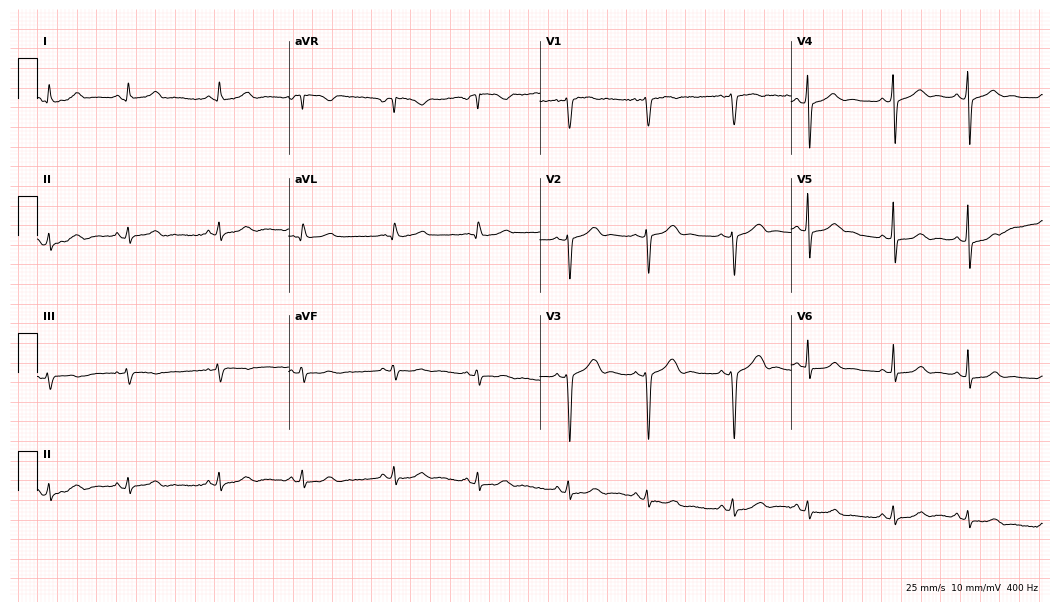
ECG (10.2-second recording at 400 Hz) — a female, 24 years old. Labelled as a normal ECG.